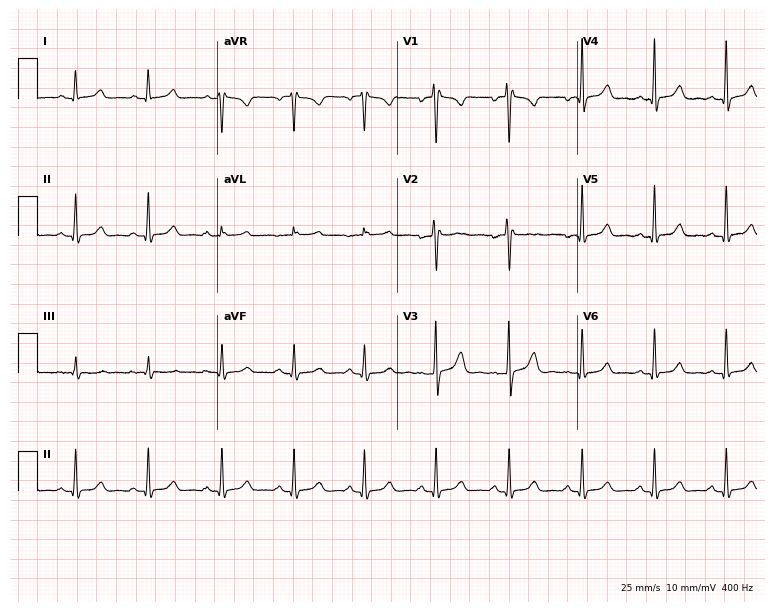
ECG (7.3-second recording at 400 Hz) — a 29-year-old female. Screened for six findings — first-degree AV block, right bundle branch block (RBBB), left bundle branch block (LBBB), sinus bradycardia, atrial fibrillation (AF), sinus tachycardia — none is recorded. Findings outside these six are not listed.